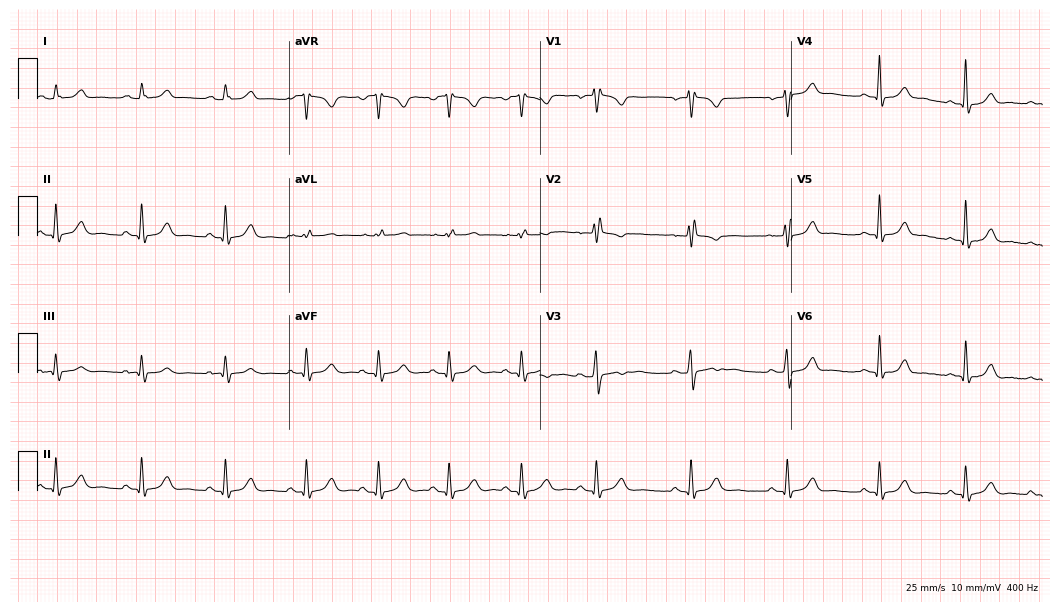
Standard 12-lead ECG recorded from a female patient, 22 years old (10.2-second recording at 400 Hz). None of these six findings is recorded: first-degree AV block, right bundle branch block, left bundle branch block, sinus bradycardia, atrial fibrillation, sinus tachycardia.